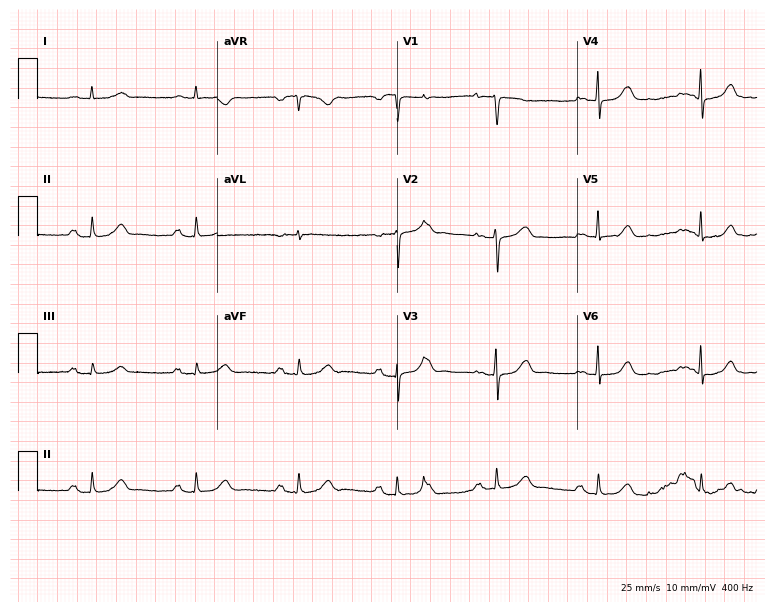
ECG (7.3-second recording at 400 Hz) — an 80-year-old female patient. Screened for six findings — first-degree AV block, right bundle branch block, left bundle branch block, sinus bradycardia, atrial fibrillation, sinus tachycardia — none is recorded.